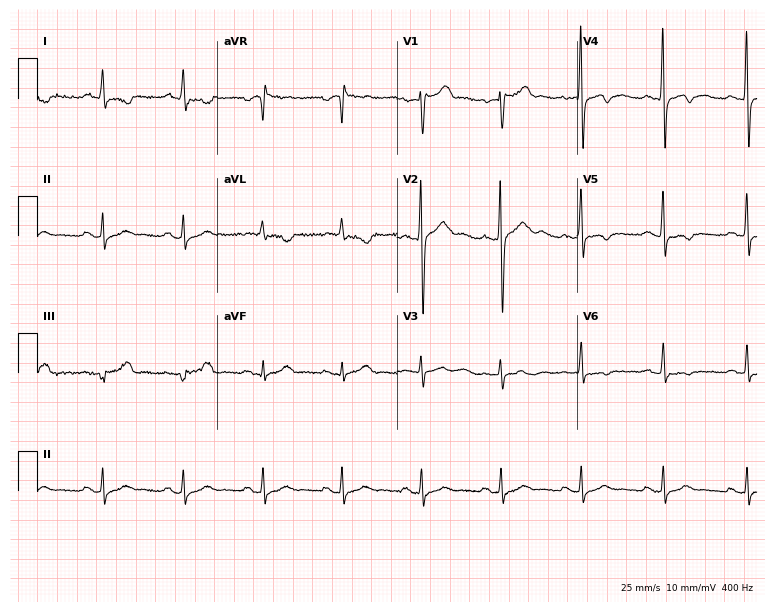
12-lead ECG from a 59-year-old male patient. No first-degree AV block, right bundle branch block (RBBB), left bundle branch block (LBBB), sinus bradycardia, atrial fibrillation (AF) or sinus tachycardia recorded for this tracing.